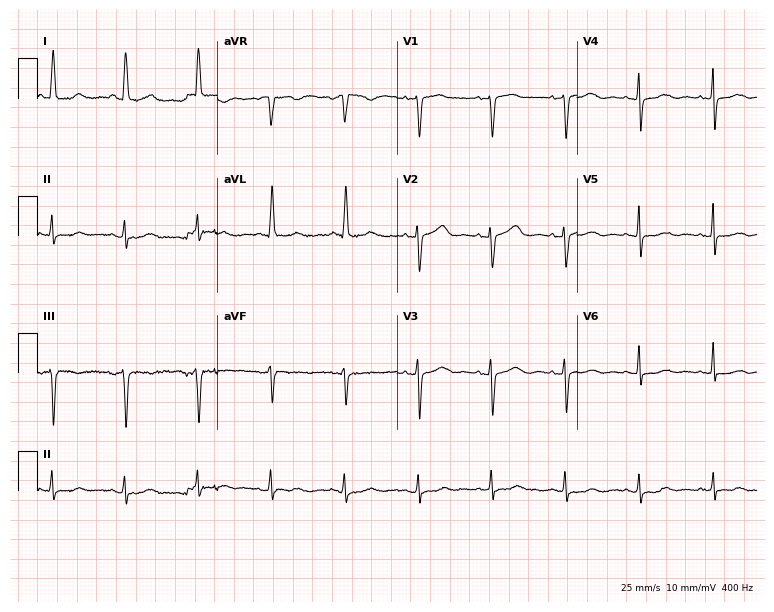
Electrocardiogram (7.3-second recording at 400 Hz), a female, 74 years old. Of the six screened findings (first-degree AV block, right bundle branch block, left bundle branch block, sinus bradycardia, atrial fibrillation, sinus tachycardia), none is recorded. Other findings, if any, are not listed.